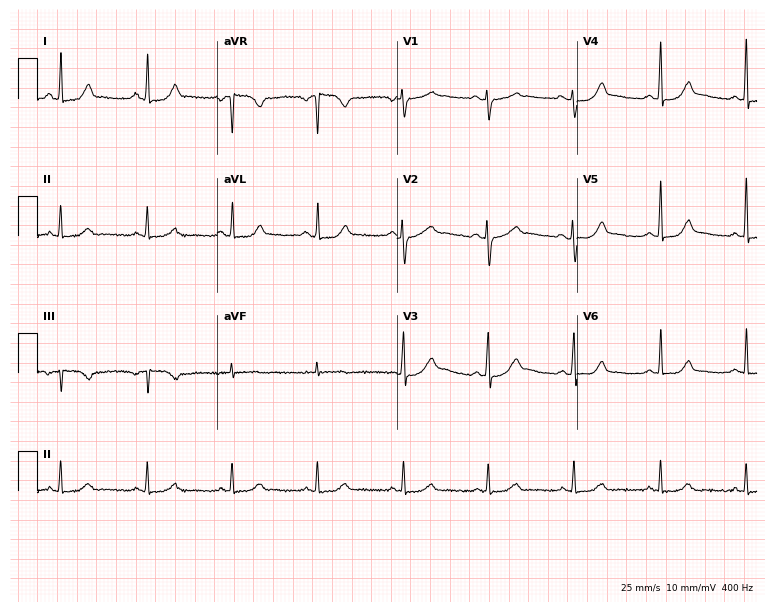
Resting 12-lead electrocardiogram (7.3-second recording at 400 Hz). Patient: a female, 34 years old. None of these six findings is recorded: first-degree AV block, right bundle branch block, left bundle branch block, sinus bradycardia, atrial fibrillation, sinus tachycardia.